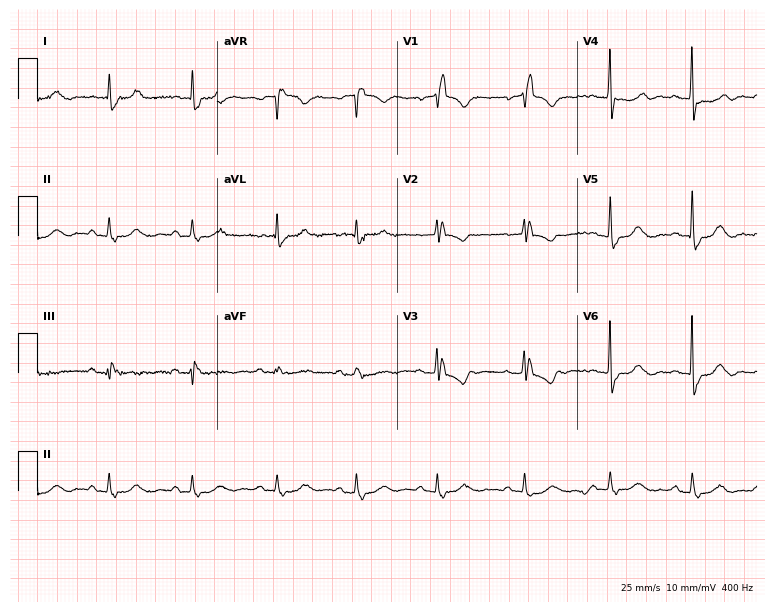
12-lead ECG from a female, 76 years old (7.3-second recording at 400 Hz). Shows right bundle branch block.